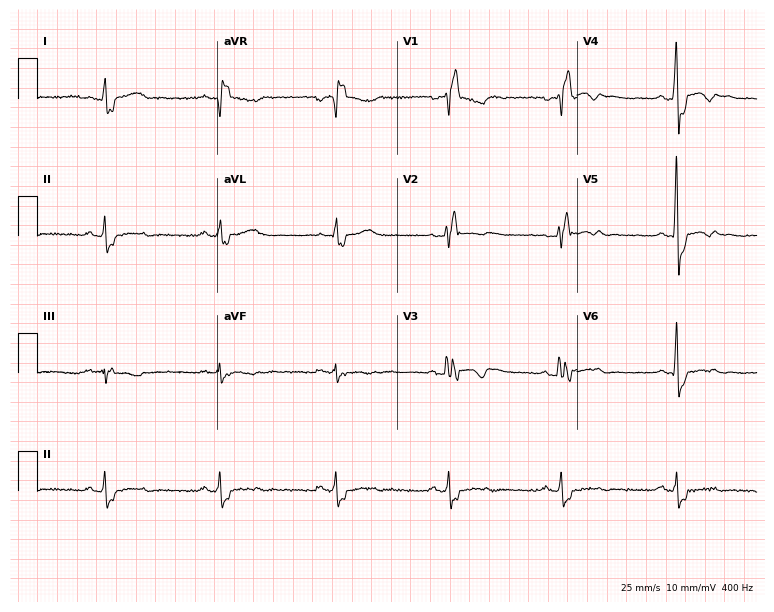
12-lead ECG (7.3-second recording at 400 Hz) from a 58-year-old man. Findings include right bundle branch block (RBBB).